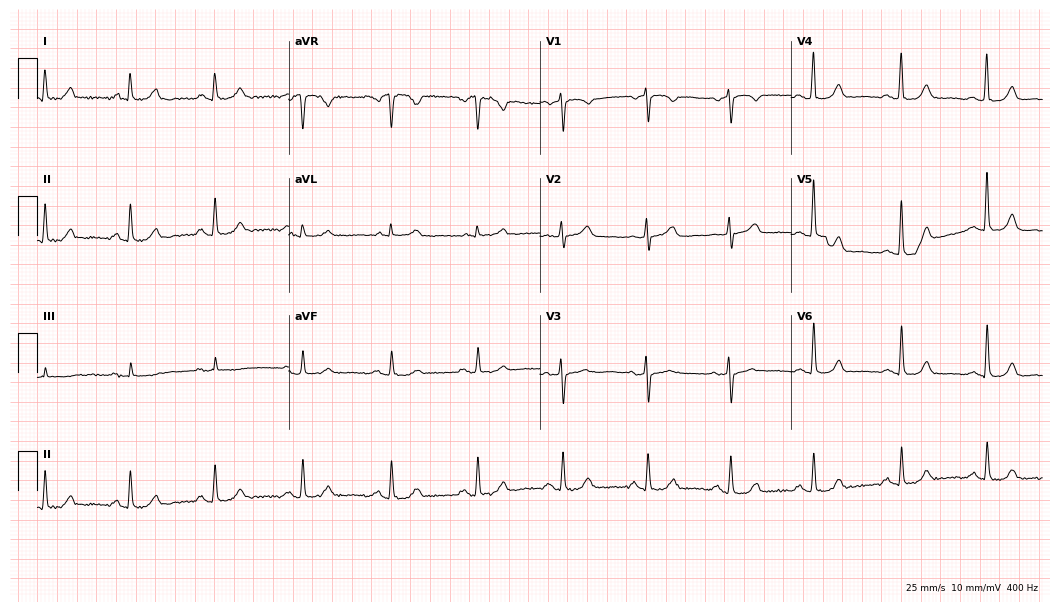
12-lead ECG from a female patient, 72 years old. Labelled as a normal ECG.